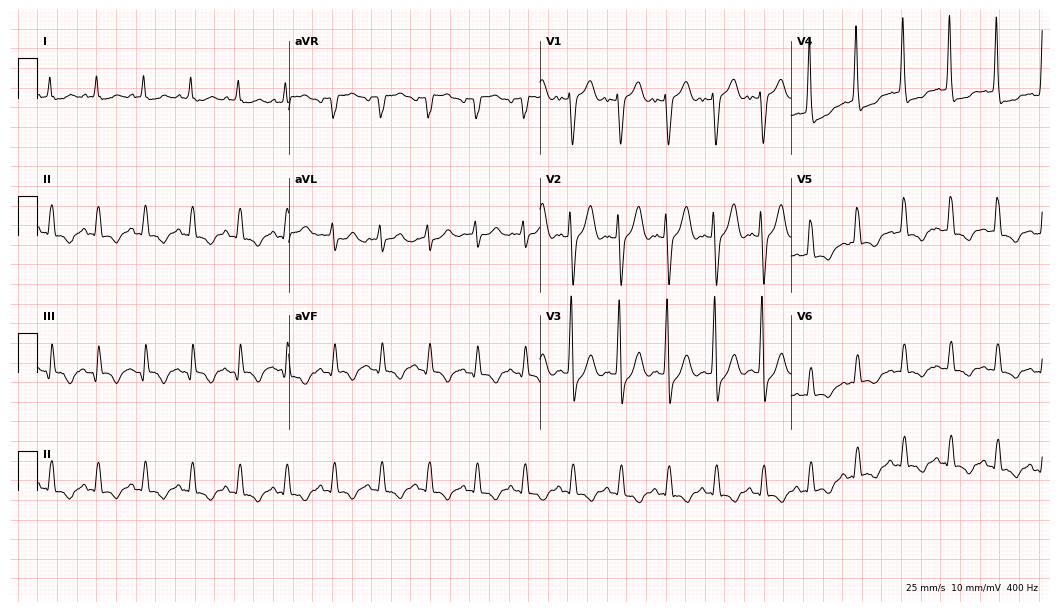
Resting 12-lead electrocardiogram. Patient: a male, 62 years old. The tracing shows sinus tachycardia (a sinus rate of 100 beats per minute or more).